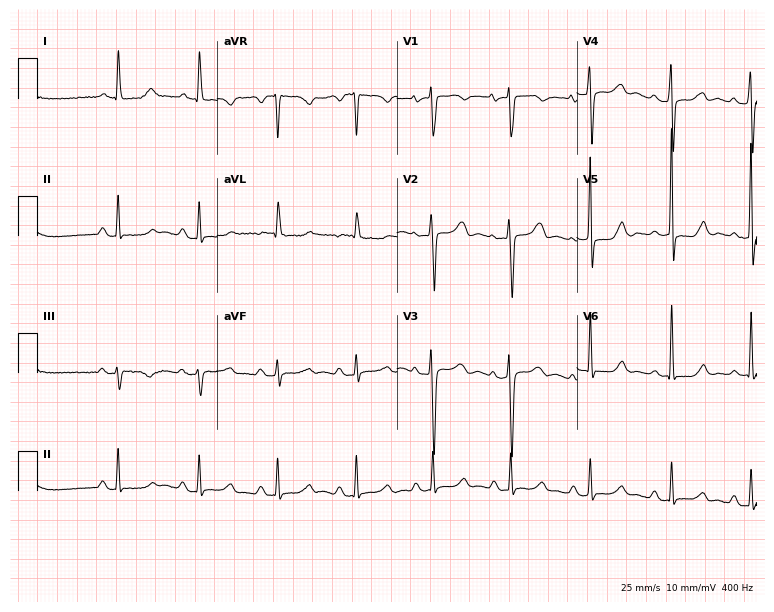
Resting 12-lead electrocardiogram. Patient: a woman, 65 years old. None of these six findings is recorded: first-degree AV block, right bundle branch block, left bundle branch block, sinus bradycardia, atrial fibrillation, sinus tachycardia. Other findings, if any, are not listed.